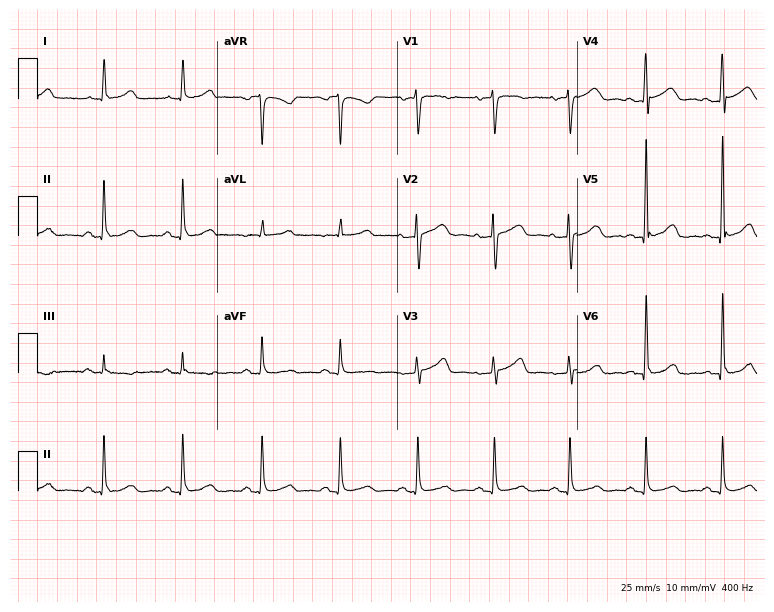
12-lead ECG from a 56-year-old female patient. Recorded interpretation: within normal limits.